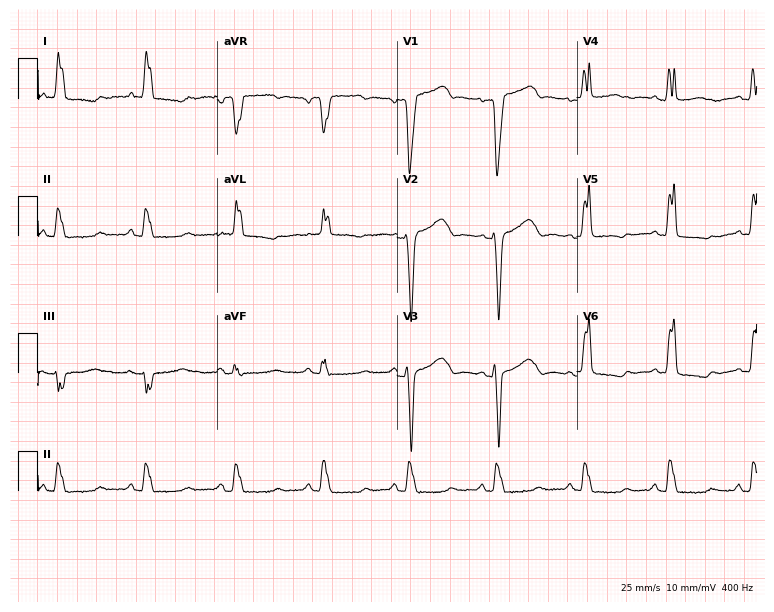
12-lead ECG from a 69-year-old woman. Findings include left bundle branch block.